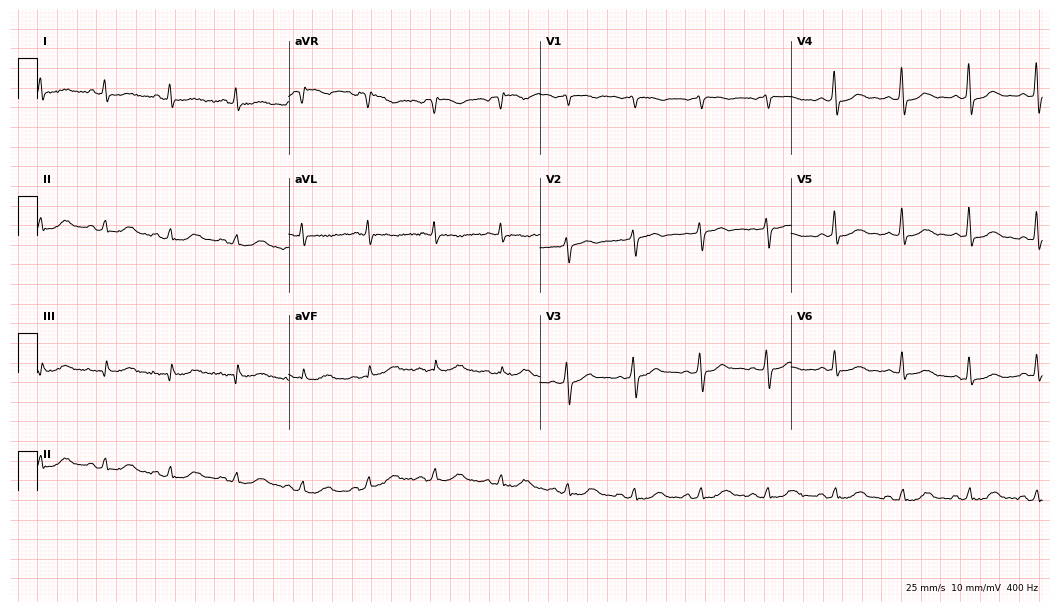
12-lead ECG (10.2-second recording at 400 Hz) from a 64-year-old man. Labelled as a normal ECG.